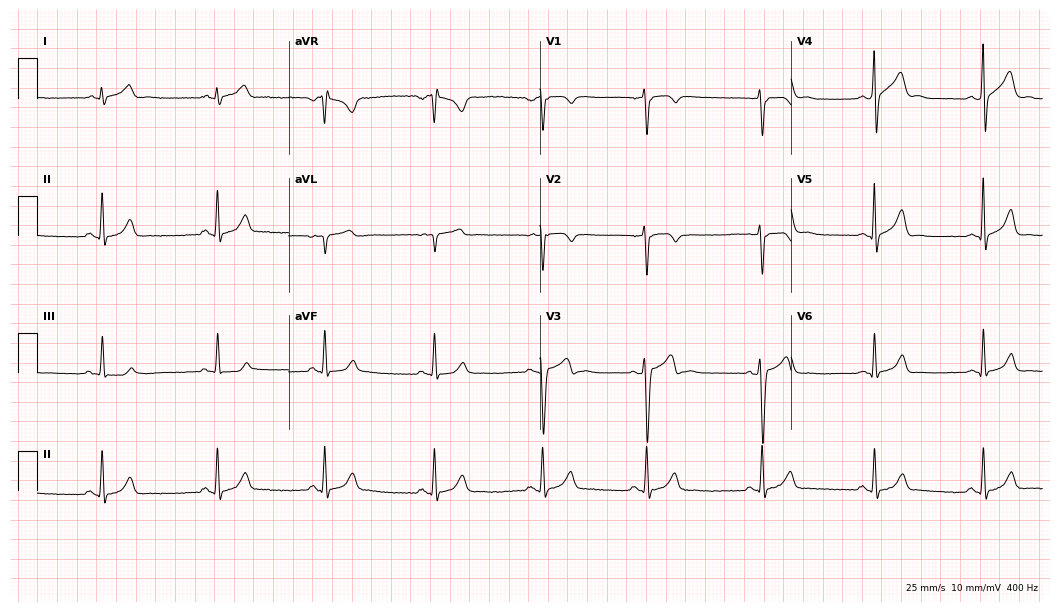
Resting 12-lead electrocardiogram (10.2-second recording at 400 Hz). Patient: a 25-year-old male. Read as a normal ECG.